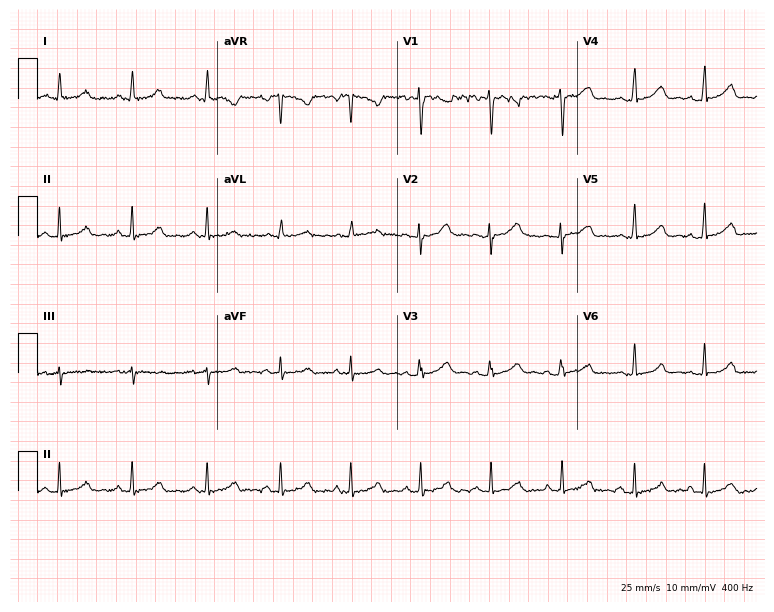
Electrocardiogram (7.3-second recording at 400 Hz), a 22-year-old female. Overall reading on record: normal ECG.